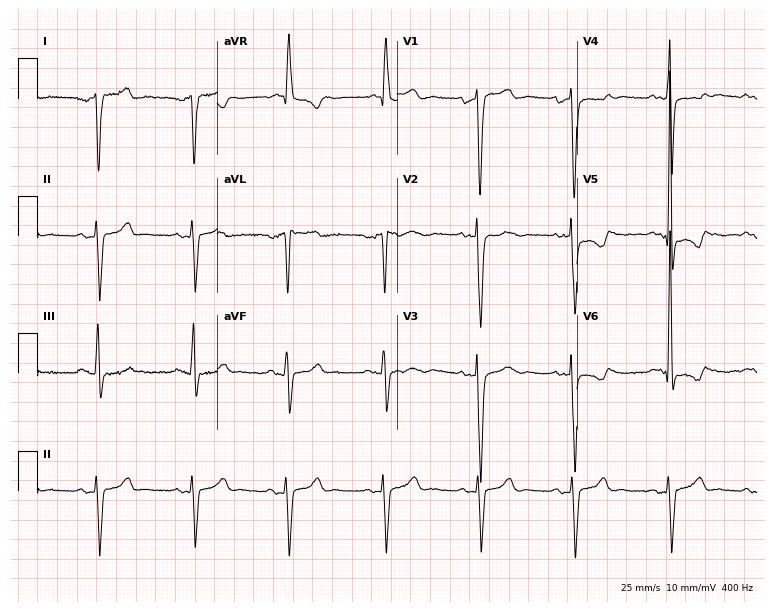
12-lead ECG from a 69-year-old man. No first-degree AV block, right bundle branch block (RBBB), left bundle branch block (LBBB), sinus bradycardia, atrial fibrillation (AF) or sinus tachycardia recorded for this tracing.